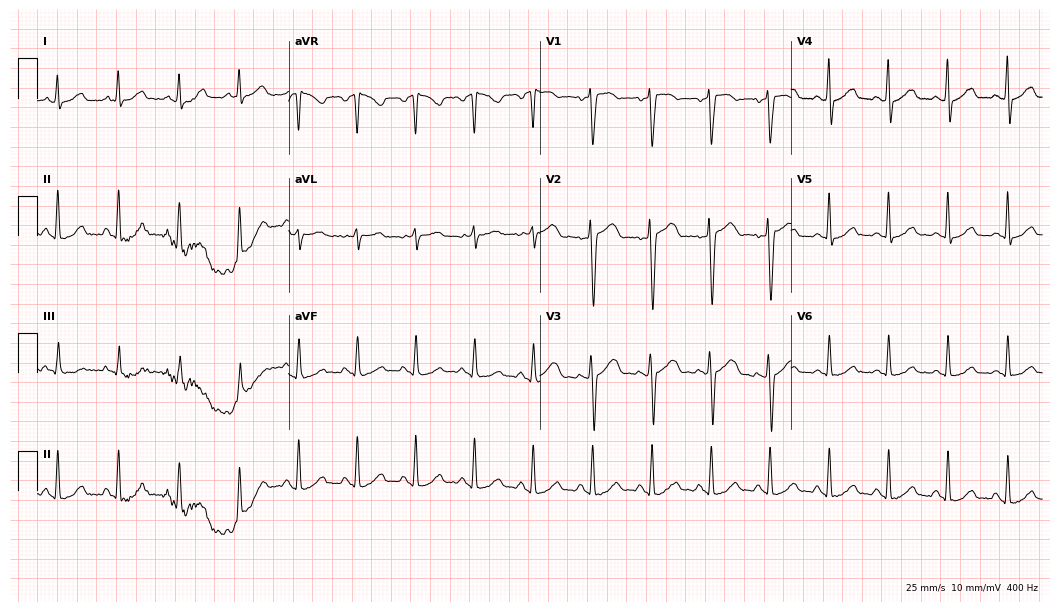
12-lead ECG from a 67-year-old female patient. No first-degree AV block, right bundle branch block, left bundle branch block, sinus bradycardia, atrial fibrillation or sinus tachycardia recorded for this tracing. Findings outside these six are not listed.